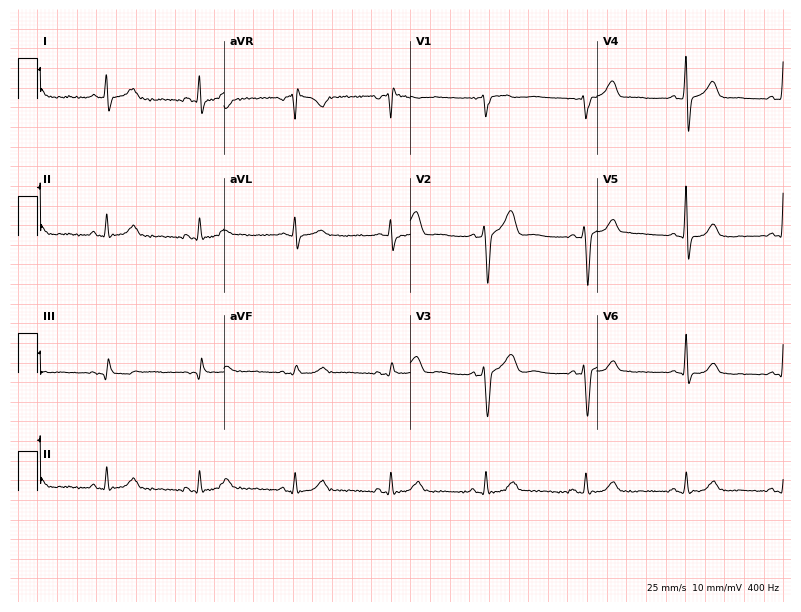
12-lead ECG from a 57-year-old man. Screened for six findings — first-degree AV block, right bundle branch block, left bundle branch block, sinus bradycardia, atrial fibrillation, sinus tachycardia — none is recorded.